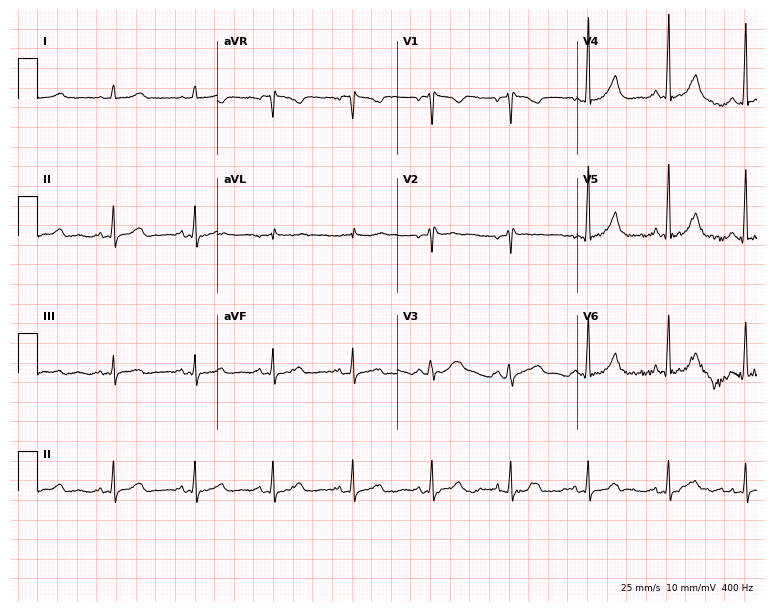
Standard 12-lead ECG recorded from a 59-year-old female patient. Read as a normal ECG.